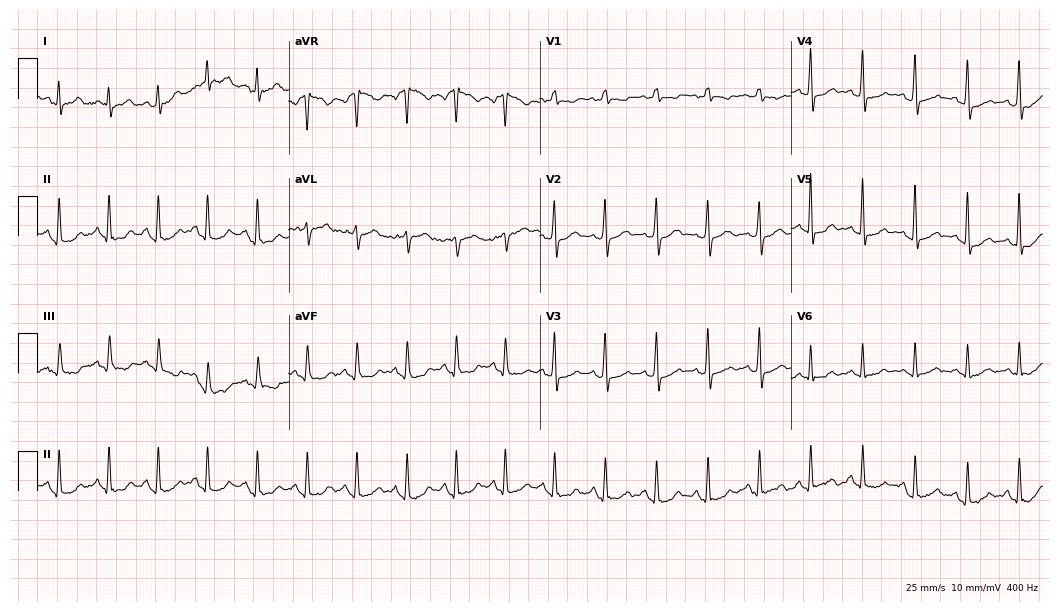
Electrocardiogram (10.2-second recording at 400 Hz), a 55-year-old female. Of the six screened findings (first-degree AV block, right bundle branch block, left bundle branch block, sinus bradycardia, atrial fibrillation, sinus tachycardia), none is recorded.